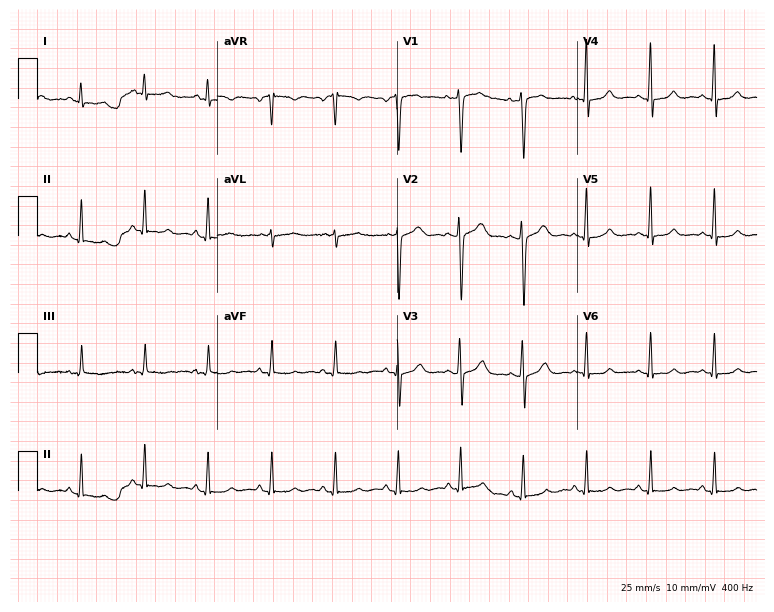
ECG (7.3-second recording at 400 Hz) — a 27-year-old female patient. Labelled as a normal ECG.